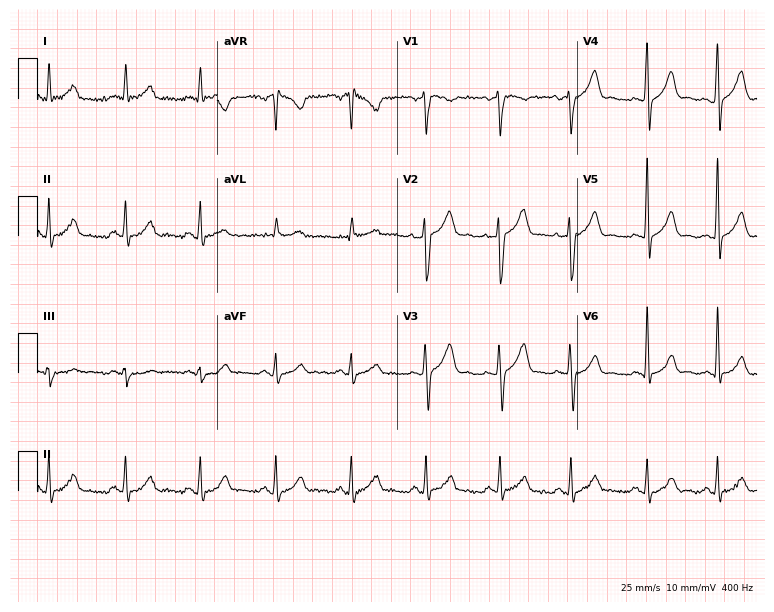
Standard 12-lead ECG recorded from a 53-year-old male patient (7.3-second recording at 400 Hz). None of these six findings is recorded: first-degree AV block, right bundle branch block, left bundle branch block, sinus bradycardia, atrial fibrillation, sinus tachycardia. Only these six findings were labelled.